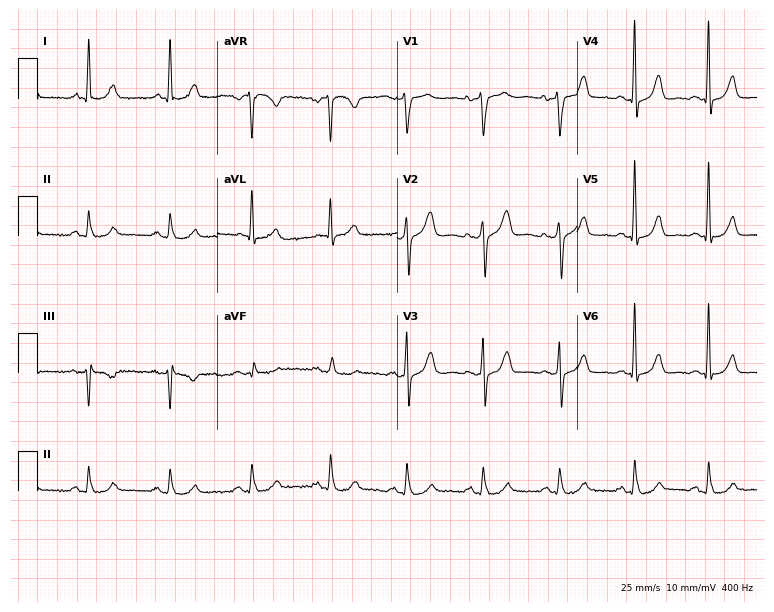
Resting 12-lead electrocardiogram (7.3-second recording at 400 Hz). Patient: a woman, 64 years old. None of these six findings is recorded: first-degree AV block, right bundle branch block, left bundle branch block, sinus bradycardia, atrial fibrillation, sinus tachycardia. Findings outside these six are not listed.